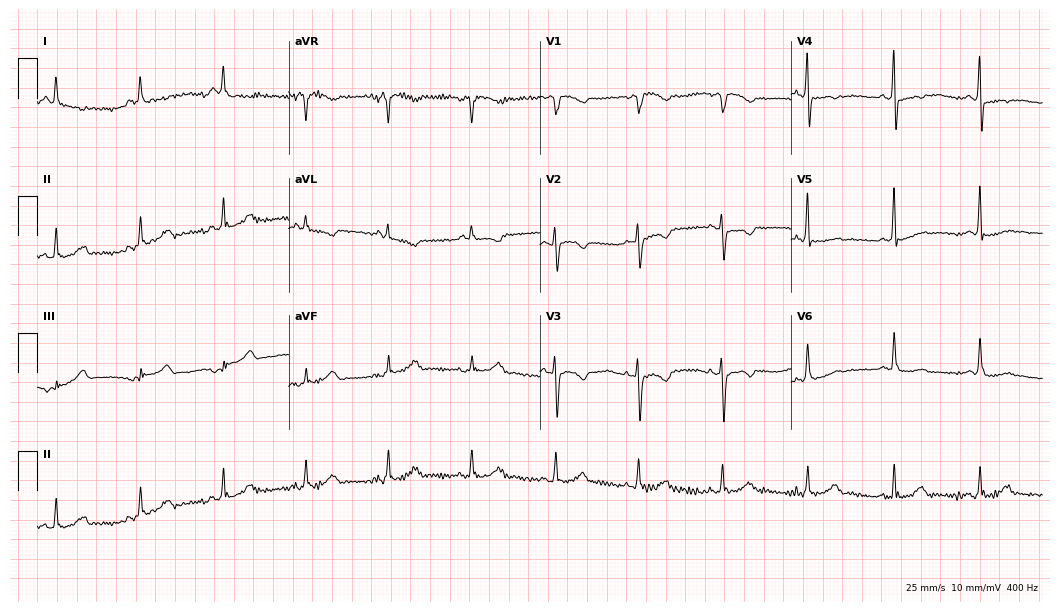
Standard 12-lead ECG recorded from a 59-year-old female patient. None of these six findings is recorded: first-degree AV block, right bundle branch block, left bundle branch block, sinus bradycardia, atrial fibrillation, sinus tachycardia. Only these six findings were labelled.